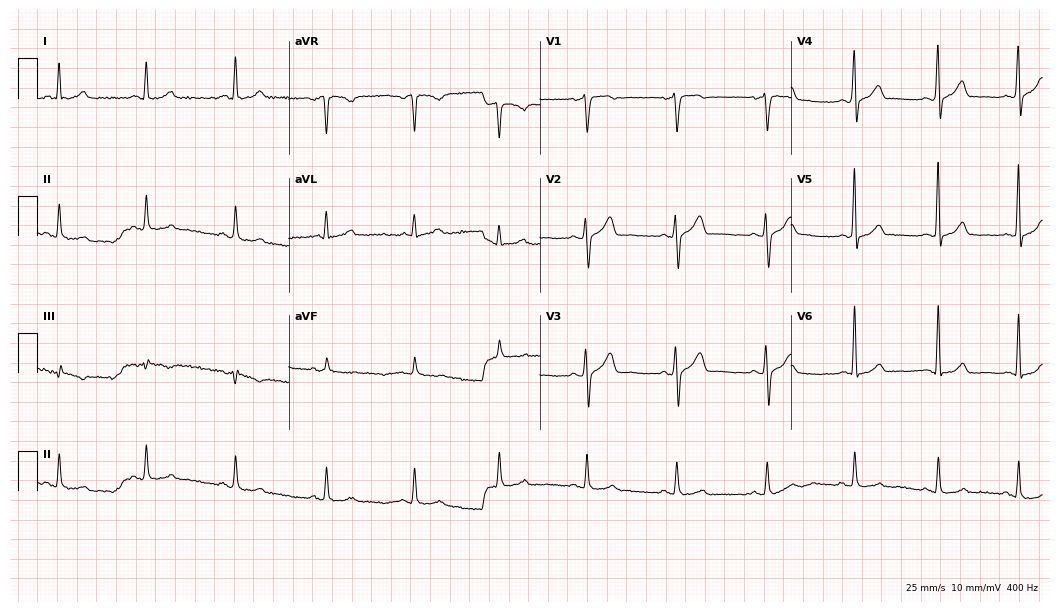
Electrocardiogram (10.2-second recording at 400 Hz), a 38-year-old male patient. Overall reading on record: normal ECG.